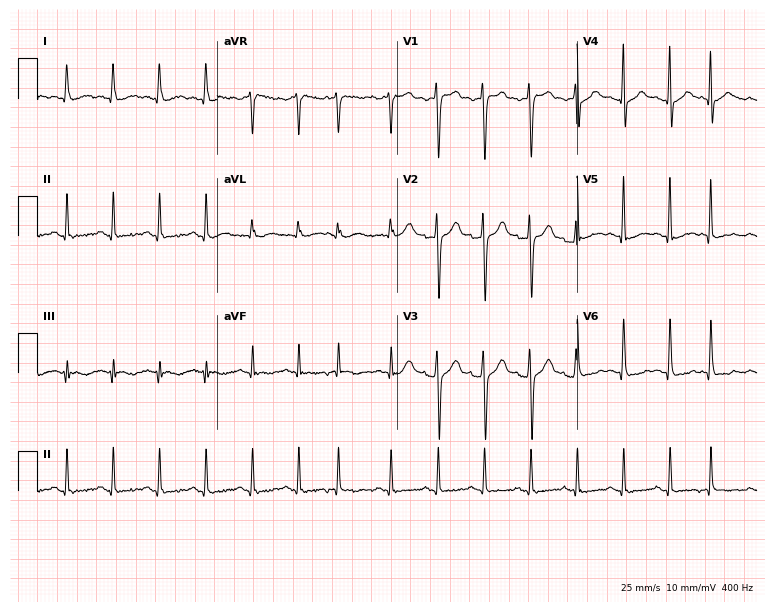
12-lead ECG from a 42-year-old man. Findings include sinus tachycardia (a sinus rate of 100 beats per minute or more).